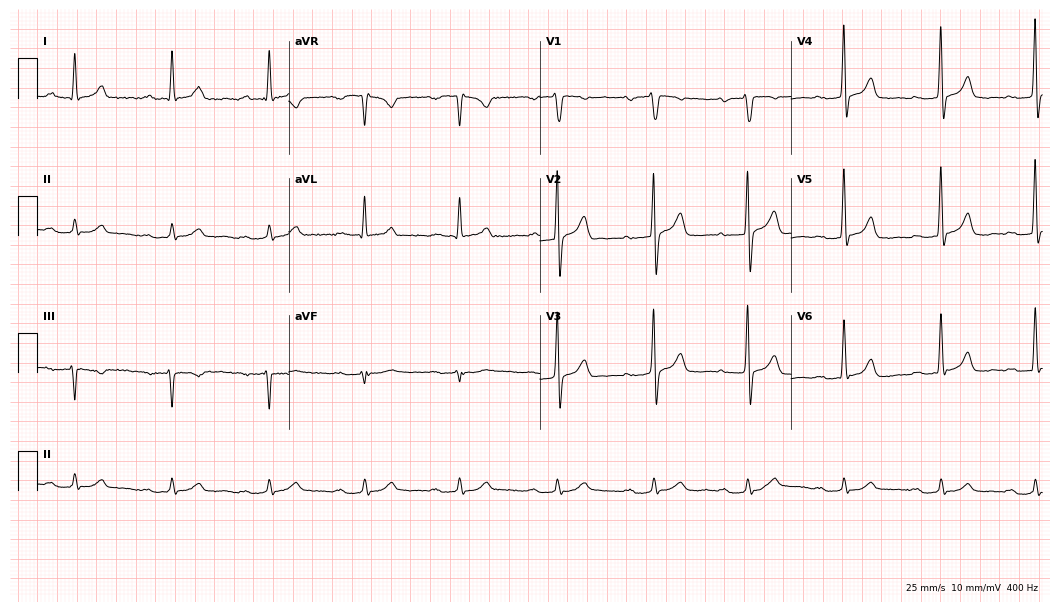
Electrocardiogram (10.2-second recording at 400 Hz), a male, 59 years old. Interpretation includes first-degree AV block.